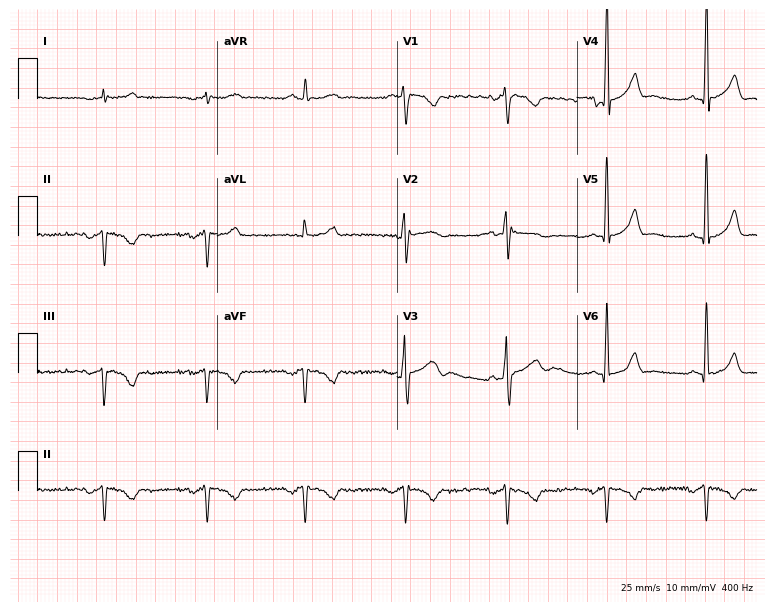
Resting 12-lead electrocardiogram (7.3-second recording at 400 Hz). Patient: a 42-year-old male. None of these six findings is recorded: first-degree AV block, right bundle branch block, left bundle branch block, sinus bradycardia, atrial fibrillation, sinus tachycardia.